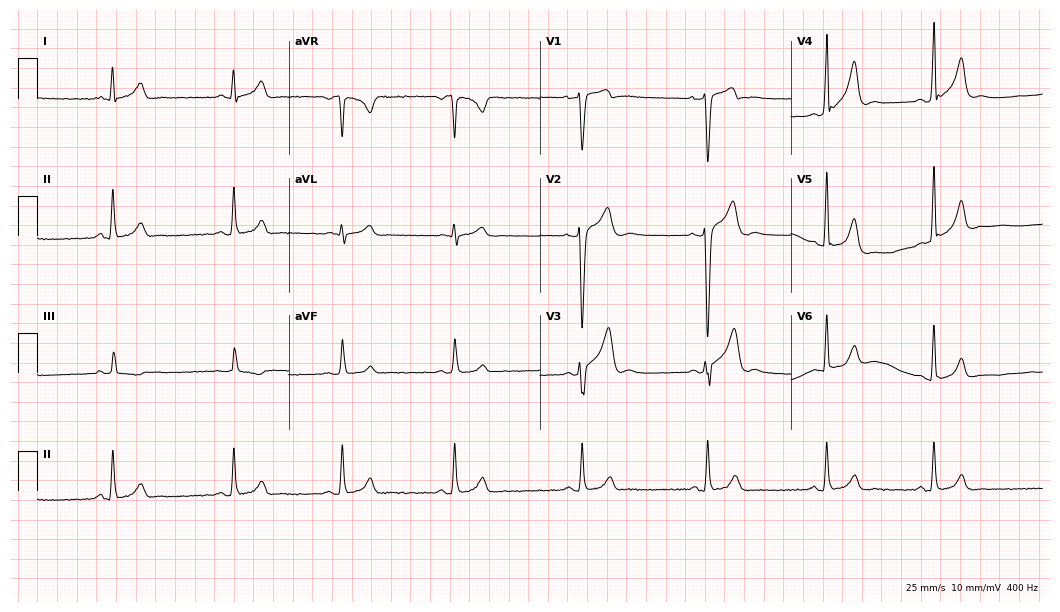
Resting 12-lead electrocardiogram. Patient: a man, 22 years old. Read as a normal ECG.